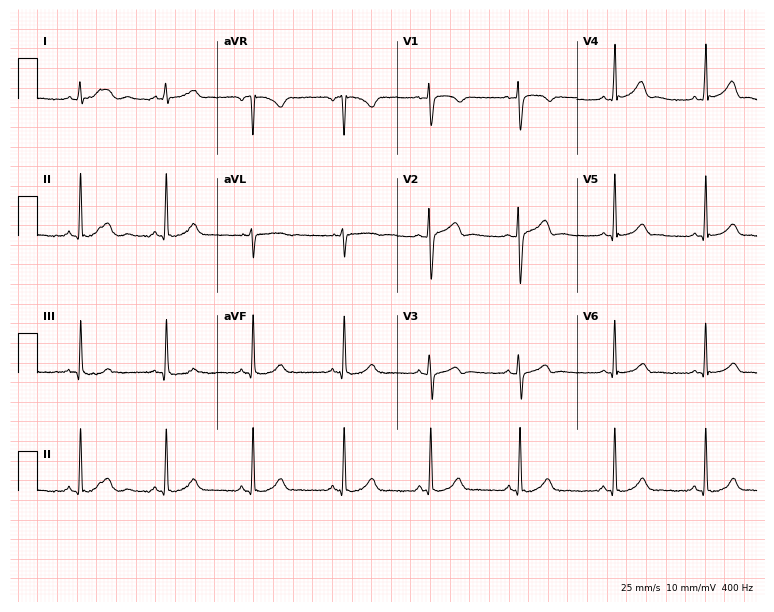
12-lead ECG from a 37-year-old female patient. Recorded interpretation: within normal limits.